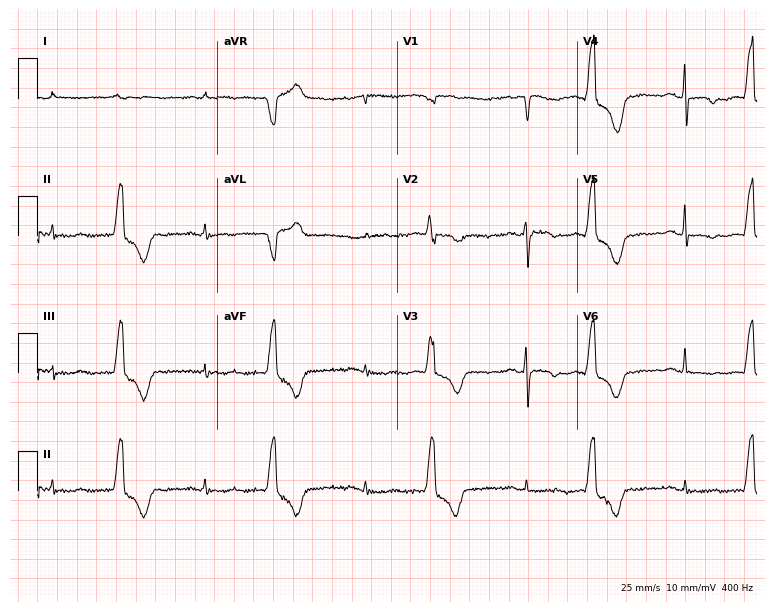
Standard 12-lead ECG recorded from a 76-year-old woman. None of these six findings is recorded: first-degree AV block, right bundle branch block, left bundle branch block, sinus bradycardia, atrial fibrillation, sinus tachycardia. Findings outside these six are not listed.